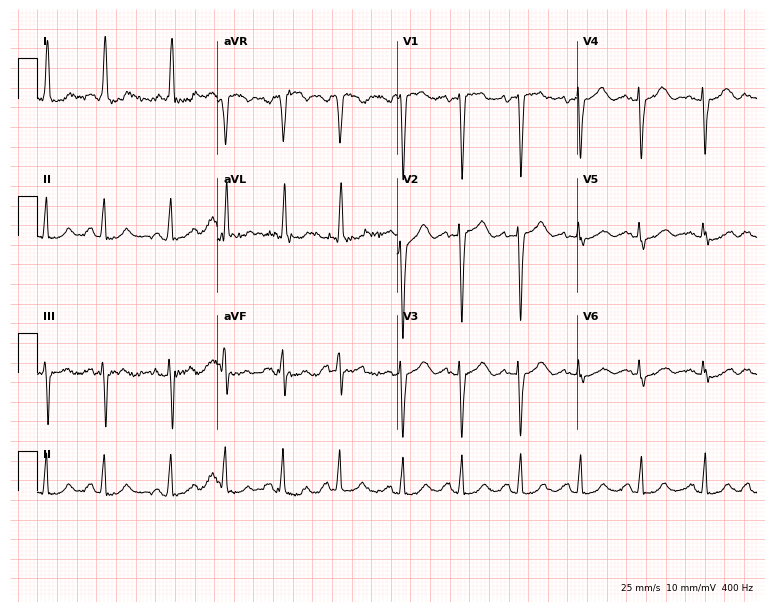
12-lead ECG from a 67-year-old female patient. No first-degree AV block, right bundle branch block, left bundle branch block, sinus bradycardia, atrial fibrillation or sinus tachycardia recorded for this tracing. Findings outside these six are not listed.